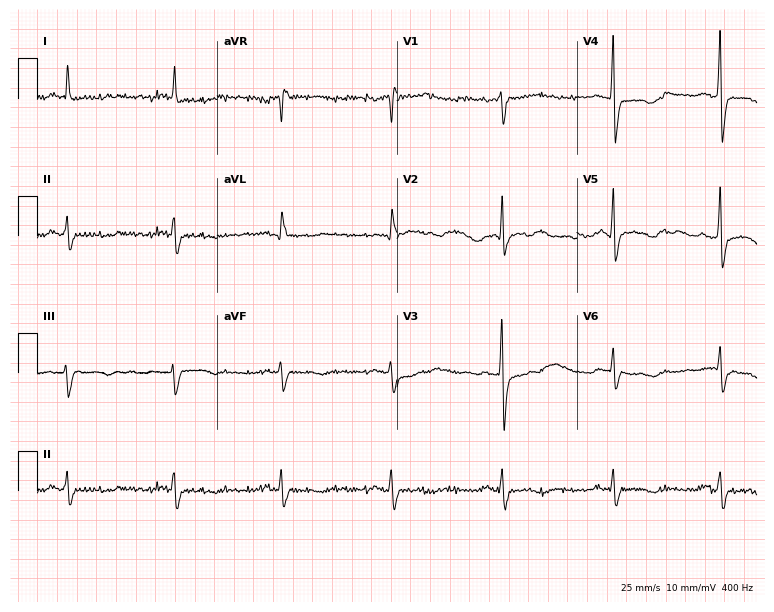
12-lead ECG from a man, 66 years old (7.3-second recording at 400 Hz). No first-degree AV block, right bundle branch block (RBBB), left bundle branch block (LBBB), sinus bradycardia, atrial fibrillation (AF) or sinus tachycardia recorded for this tracing. Other findings, if any, are not listed.